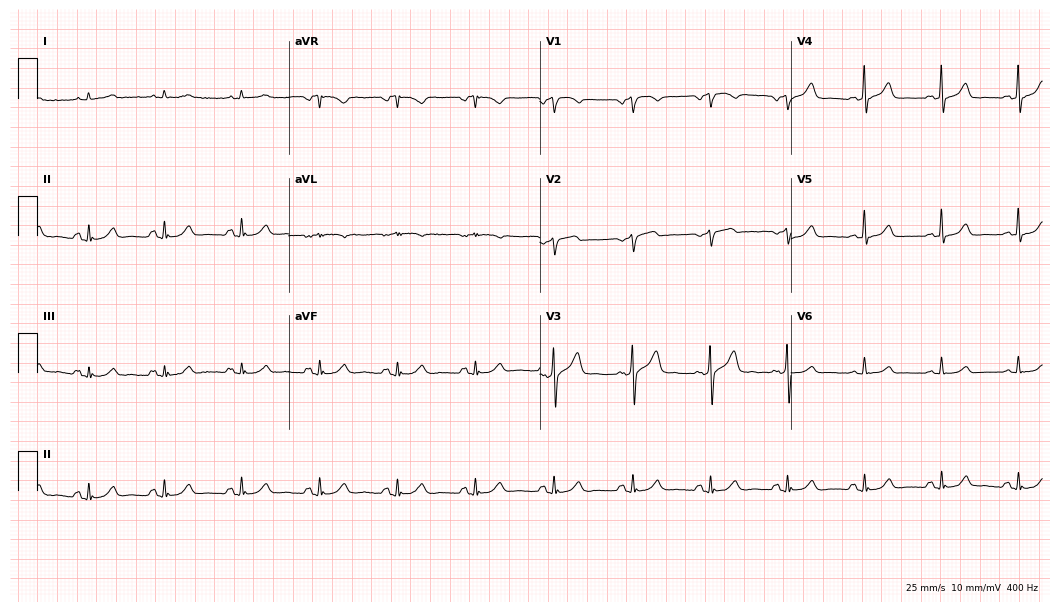
Standard 12-lead ECG recorded from a 57-year-old male patient (10.2-second recording at 400 Hz). None of these six findings is recorded: first-degree AV block, right bundle branch block, left bundle branch block, sinus bradycardia, atrial fibrillation, sinus tachycardia.